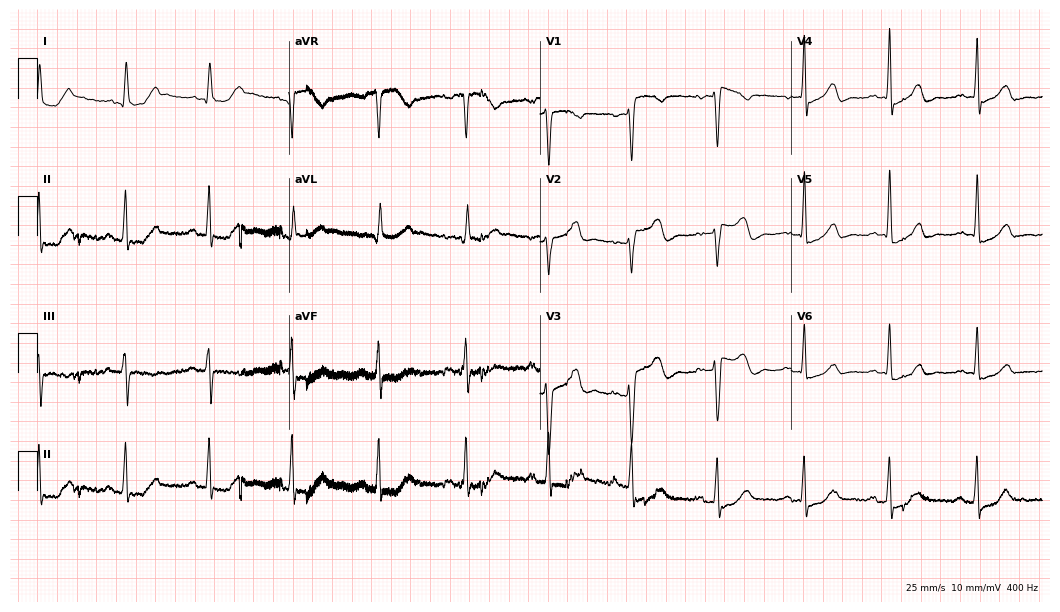
Resting 12-lead electrocardiogram (10.2-second recording at 400 Hz). Patient: a 55-year-old female. None of these six findings is recorded: first-degree AV block, right bundle branch block, left bundle branch block, sinus bradycardia, atrial fibrillation, sinus tachycardia.